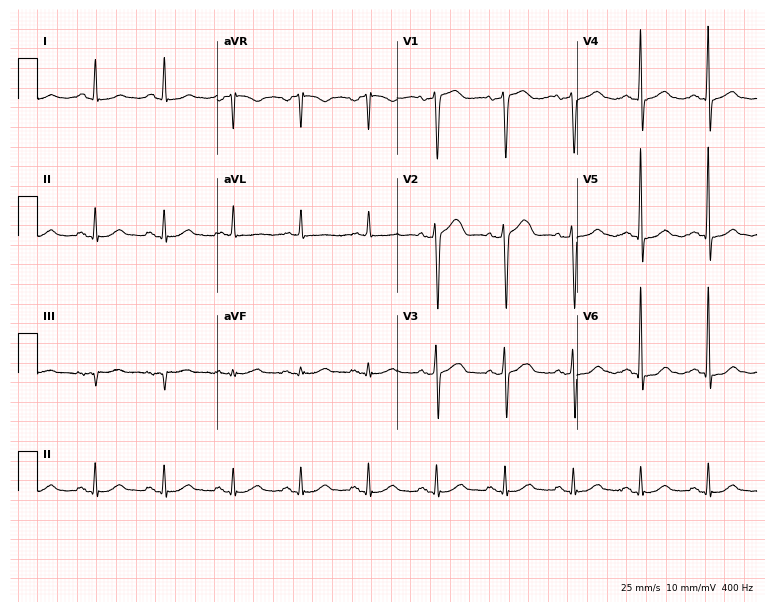
Standard 12-lead ECG recorded from a 74-year-old female (7.3-second recording at 400 Hz). None of these six findings is recorded: first-degree AV block, right bundle branch block, left bundle branch block, sinus bradycardia, atrial fibrillation, sinus tachycardia. Only these six findings were labelled.